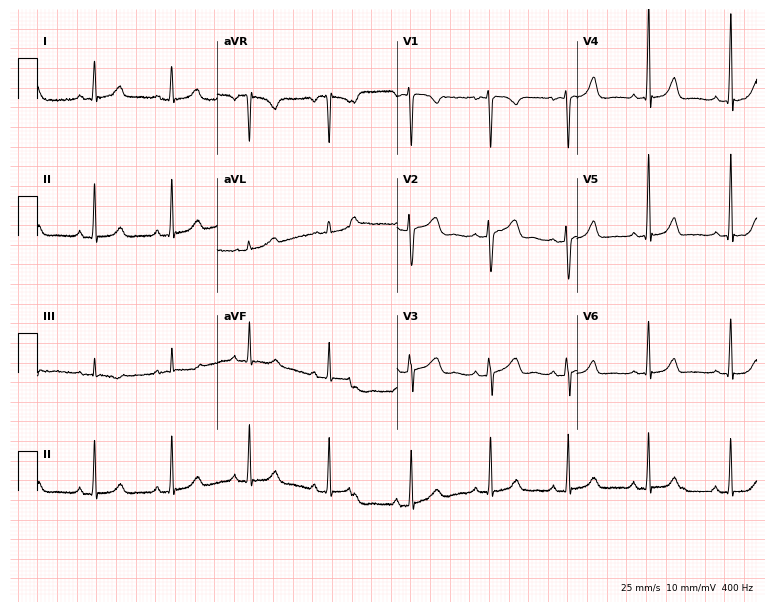
12-lead ECG from a 44-year-old woman (7.3-second recording at 400 Hz). Recorded interpretation: within normal limits.